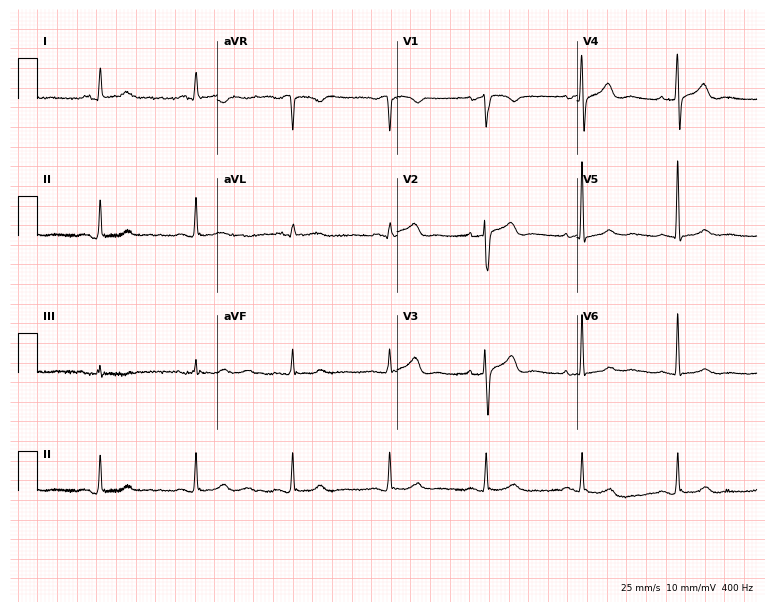
ECG (7.3-second recording at 400 Hz) — a male, 35 years old. Screened for six findings — first-degree AV block, right bundle branch block (RBBB), left bundle branch block (LBBB), sinus bradycardia, atrial fibrillation (AF), sinus tachycardia — none is recorded.